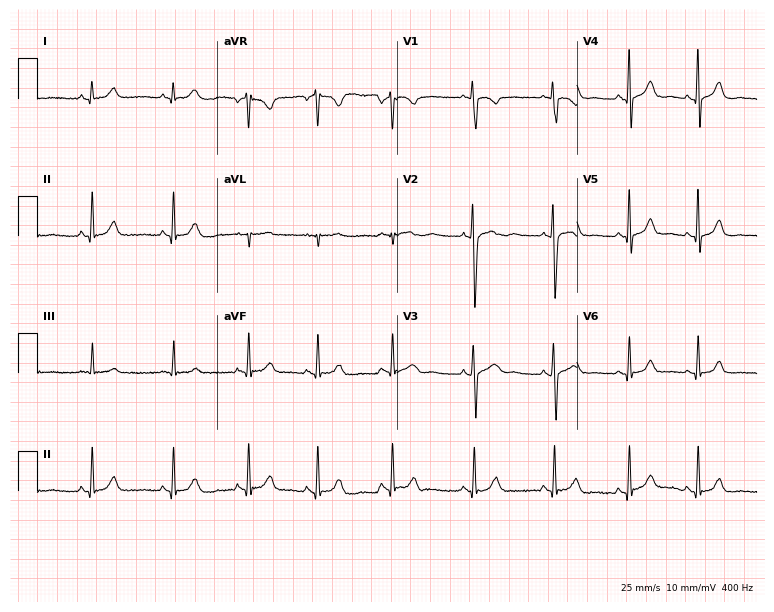
ECG (7.3-second recording at 400 Hz) — a 21-year-old female. Screened for six findings — first-degree AV block, right bundle branch block, left bundle branch block, sinus bradycardia, atrial fibrillation, sinus tachycardia — none is recorded. Findings outside these six are not listed.